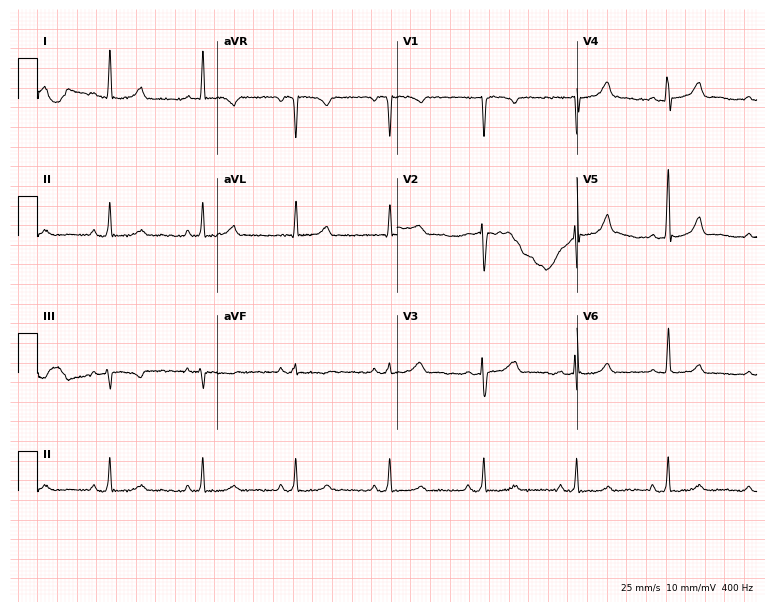
Standard 12-lead ECG recorded from a 50-year-old female (7.3-second recording at 400 Hz). Read as a normal ECG.